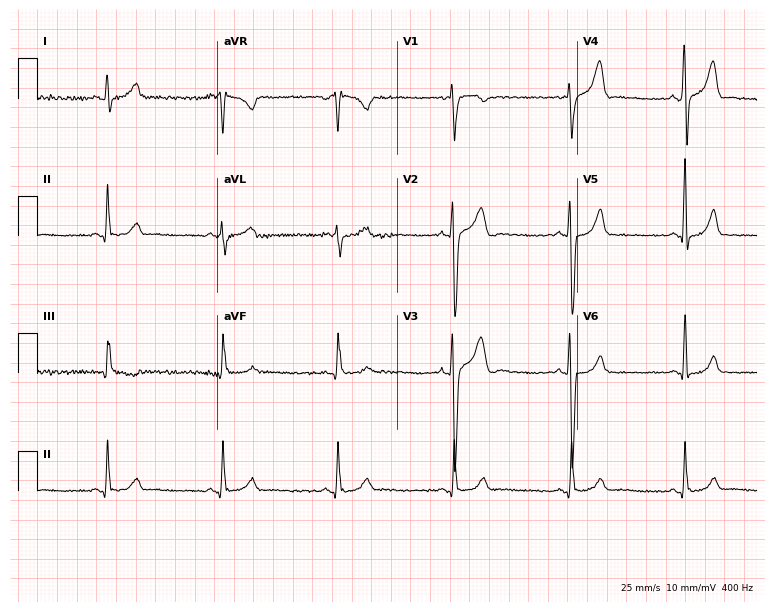
12-lead ECG (7.3-second recording at 400 Hz) from a 33-year-old man. Screened for six findings — first-degree AV block, right bundle branch block, left bundle branch block, sinus bradycardia, atrial fibrillation, sinus tachycardia — none is recorded. Findings outside these six are not listed.